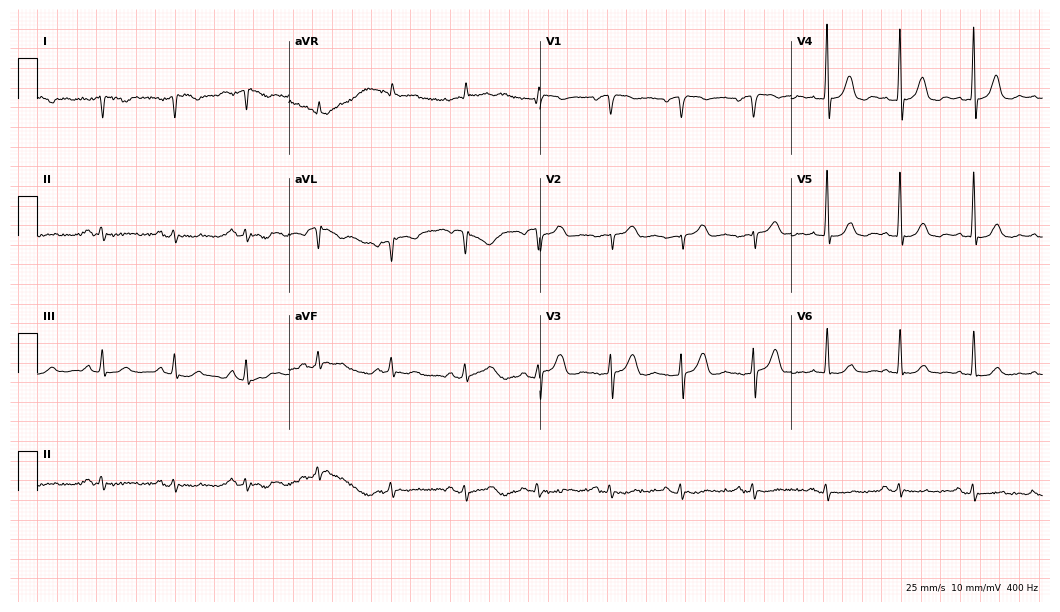
Resting 12-lead electrocardiogram. Patient: an 85-year-old male. None of these six findings is recorded: first-degree AV block, right bundle branch block, left bundle branch block, sinus bradycardia, atrial fibrillation, sinus tachycardia.